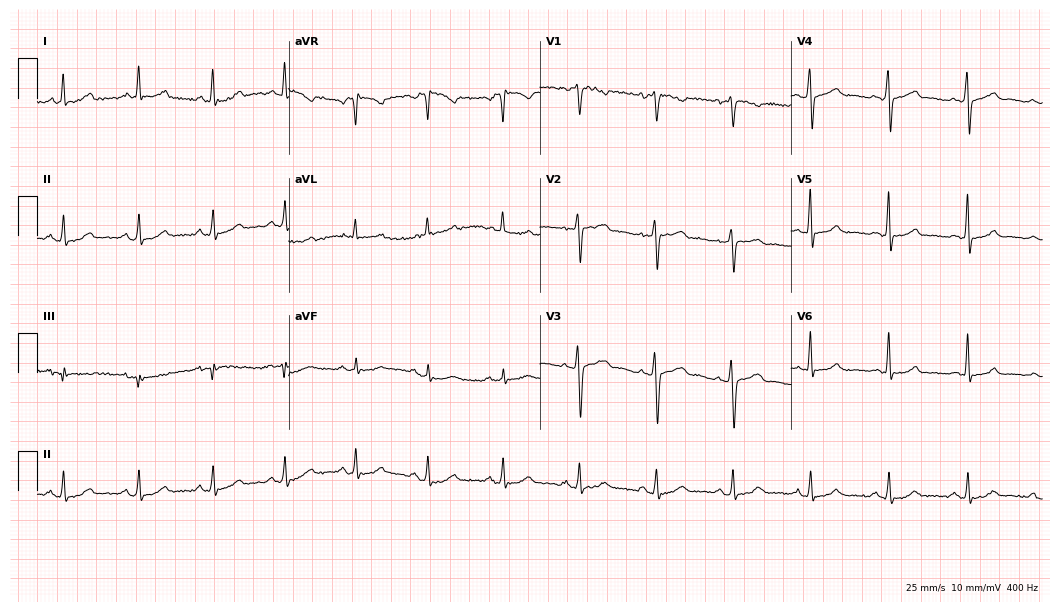
Standard 12-lead ECG recorded from a female, 50 years old. None of these six findings is recorded: first-degree AV block, right bundle branch block, left bundle branch block, sinus bradycardia, atrial fibrillation, sinus tachycardia. Findings outside these six are not listed.